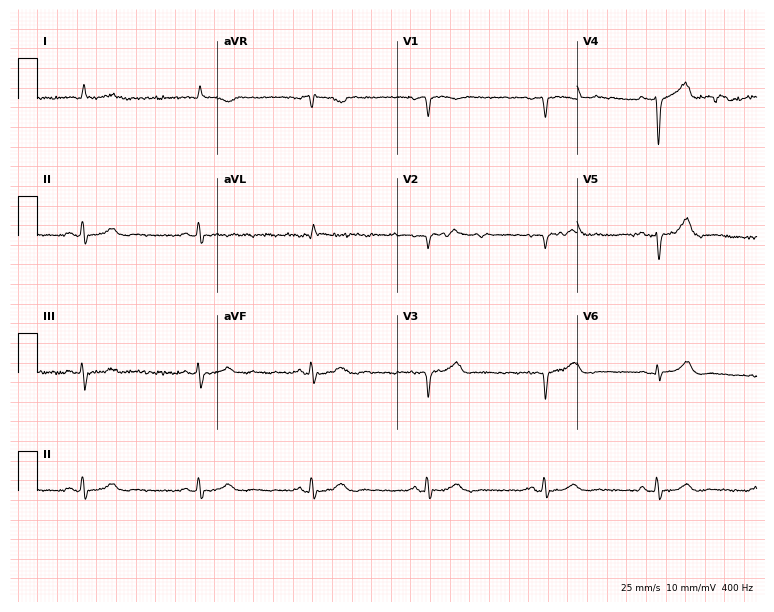
12-lead ECG from a man, 82 years old. Screened for six findings — first-degree AV block, right bundle branch block, left bundle branch block, sinus bradycardia, atrial fibrillation, sinus tachycardia — none is recorded.